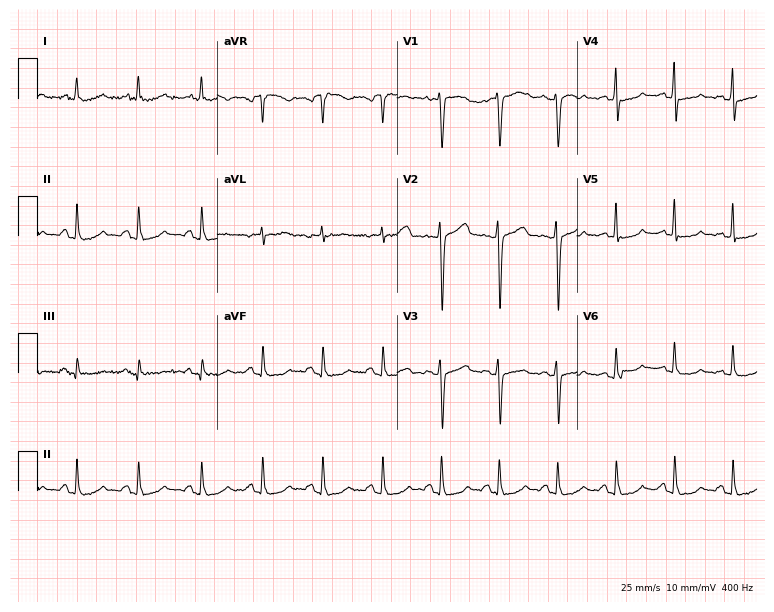
Resting 12-lead electrocardiogram (7.3-second recording at 400 Hz). Patient: a 53-year-old female. Read as a normal ECG.